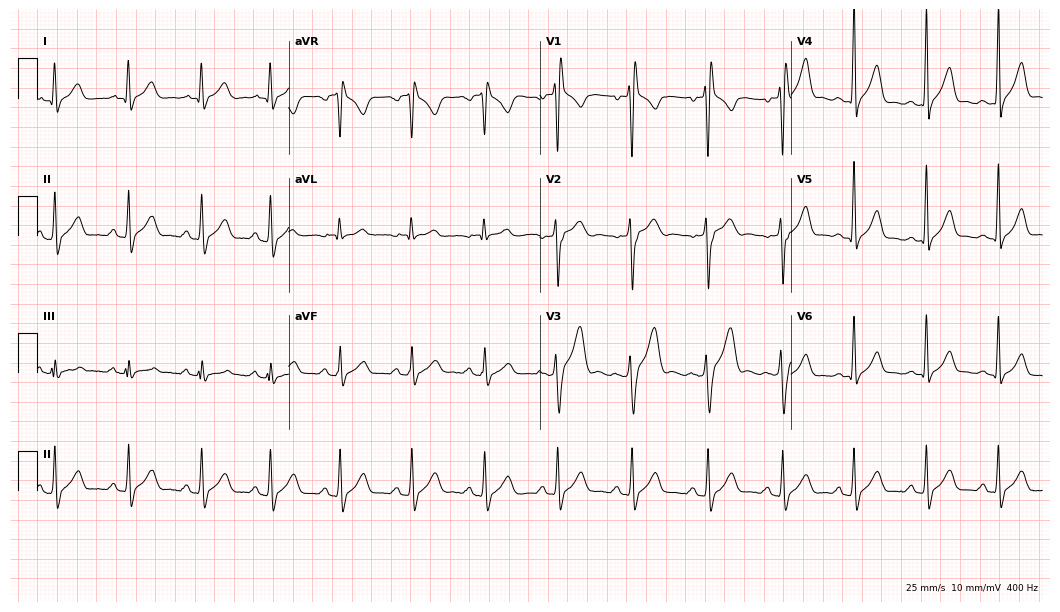
Electrocardiogram (10.2-second recording at 400 Hz), a man, 18 years old. Interpretation includes right bundle branch block.